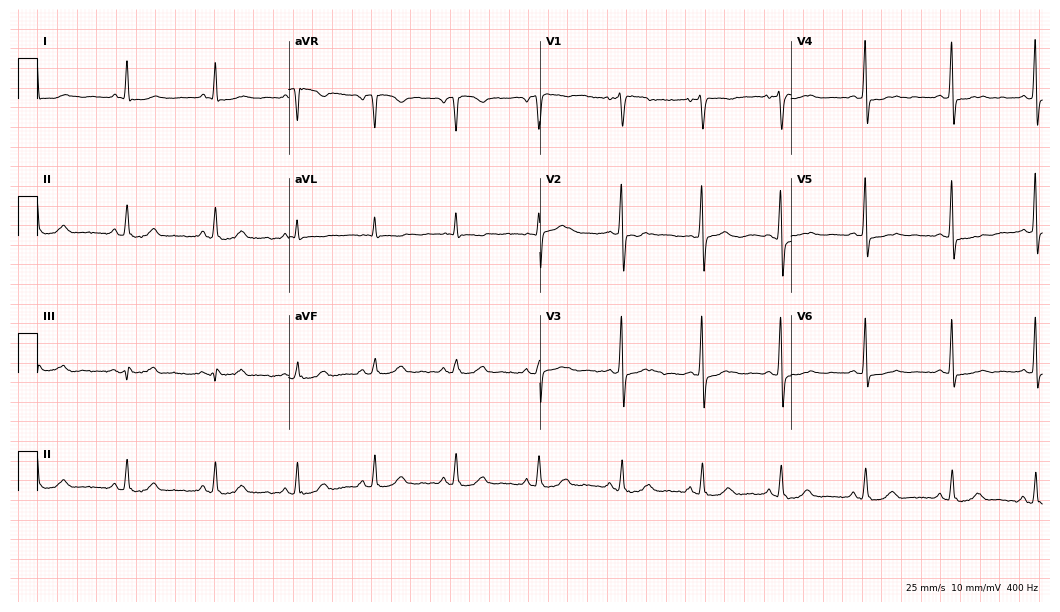
12-lead ECG from a 48-year-old woman. No first-degree AV block, right bundle branch block, left bundle branch block, sinus bradycardia, atrial fibrillation or sinus tachycardia recorded for this tracing.